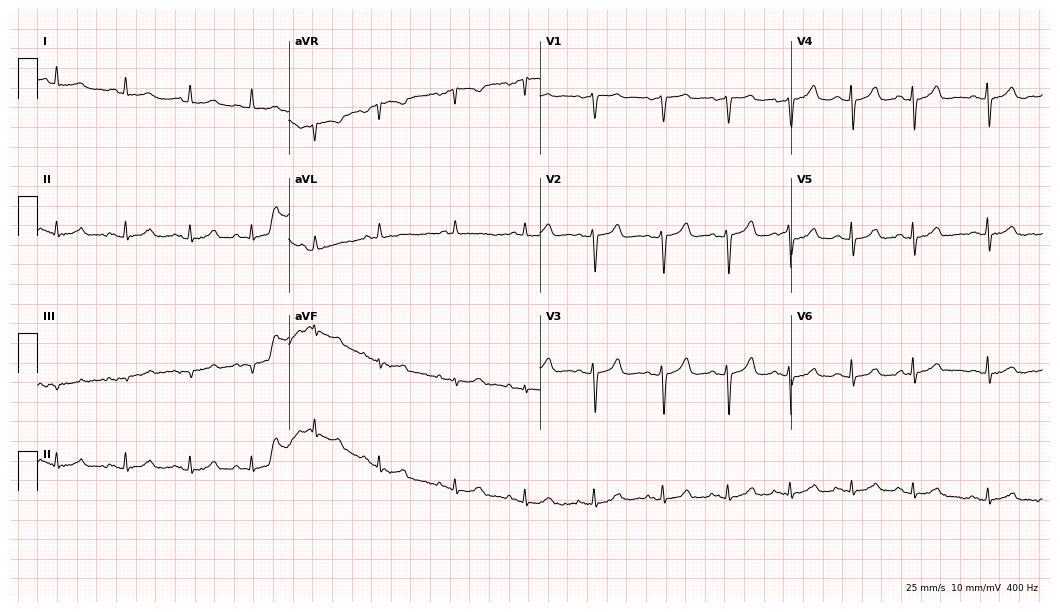
12-lead ECG from a woman, 79 years old (10.2-second recording at 400 Hz). No first-degree AV block, right bundle branch block (RBBB), left bundle branch block (LBBB), sinus bradycardia, atrial fibrillation (AF) or sinus tachycardia recorded for this tracing.